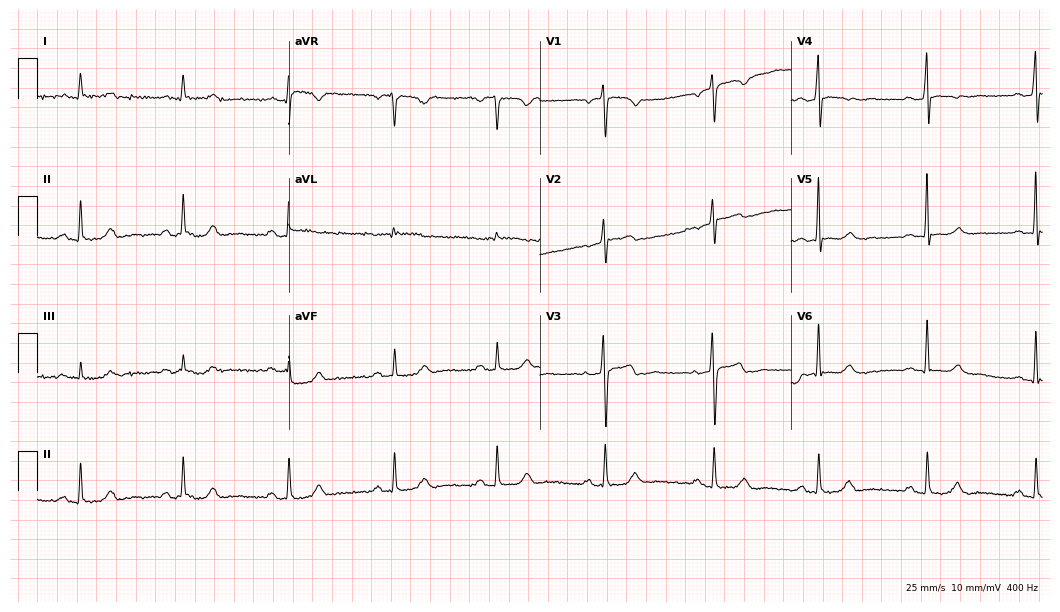
Electrocardiogram (10.2-second recording at 400 Hz), a female patient, 66 years old. Overall reading on record: normal ECG.